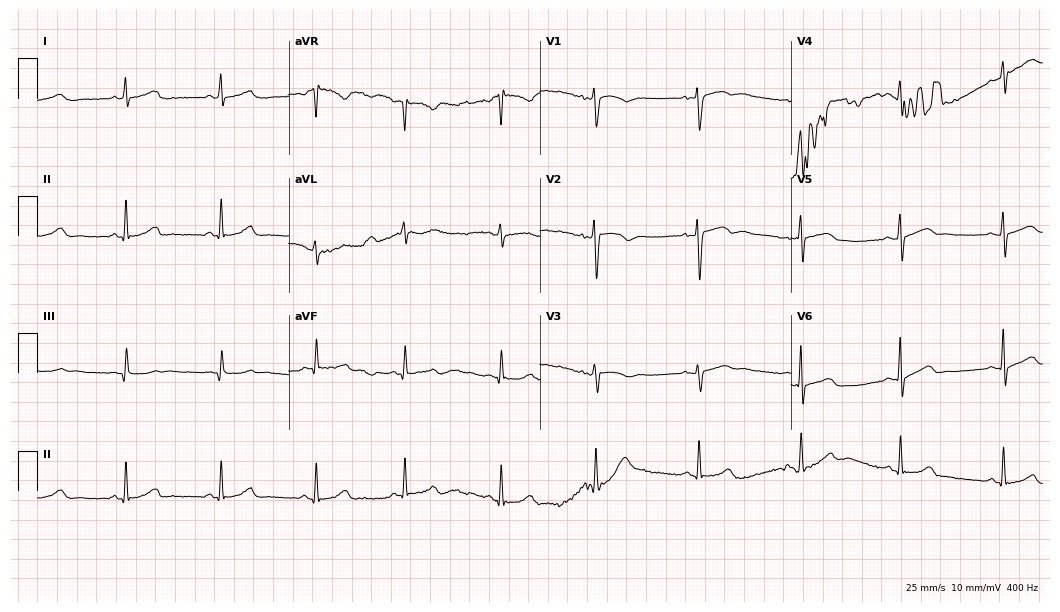
12-lead ECG from a female patient, 35 years old (10.2-second recording at 400 Hz). Shows atrial fibrillation (AF).